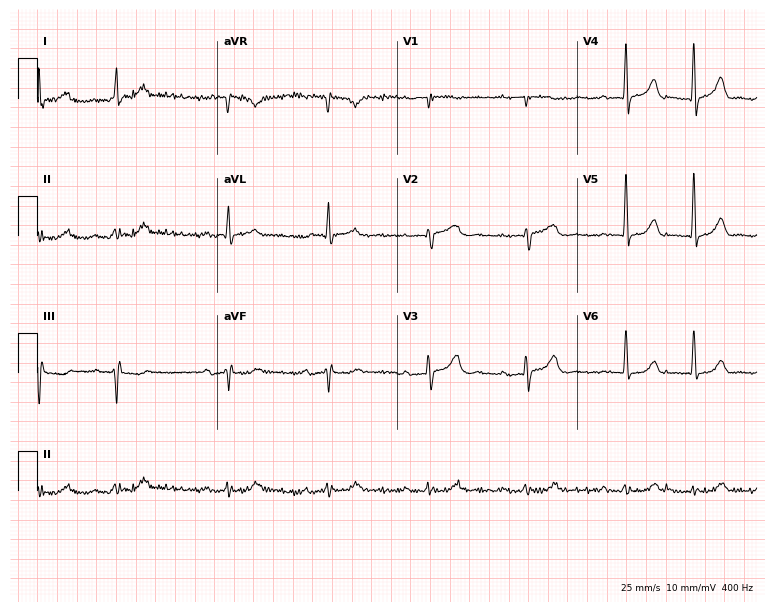
Resting 12-lead electrocardiogram. Patient: an 81-year-old male. None of these six findings is recorded: first-degree AV block, right bundle branch block, left bundle branch block, sinus bradycardia, atrial fibrillation, sinus tachycardia. Other findings, if any, are not listed.